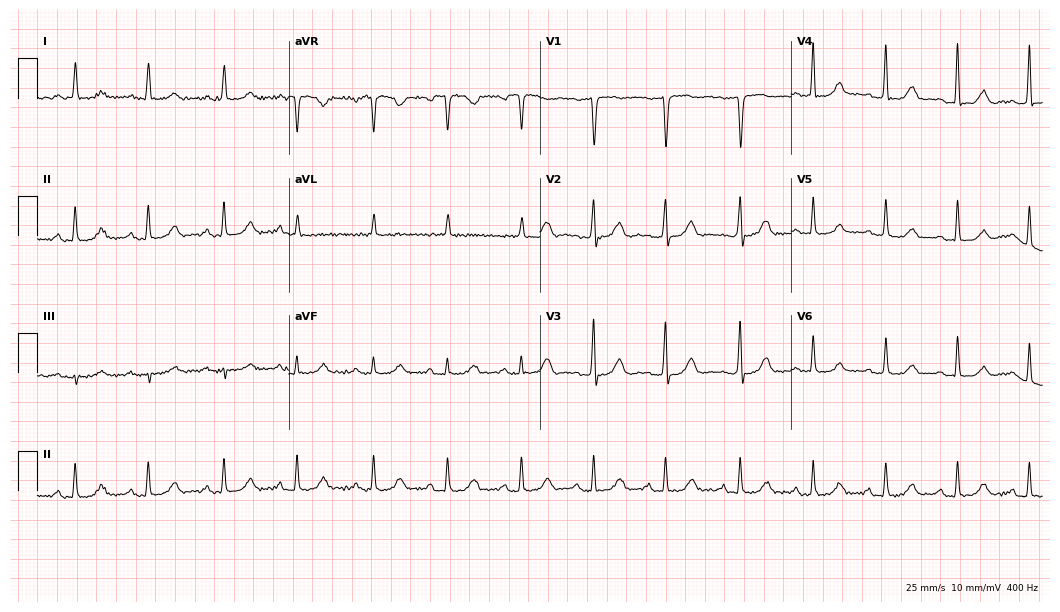
Electrocardiogram (10.2-second recording at 400 Hz), a female patient, 74 years old. Overall reading on record: normal ECG.